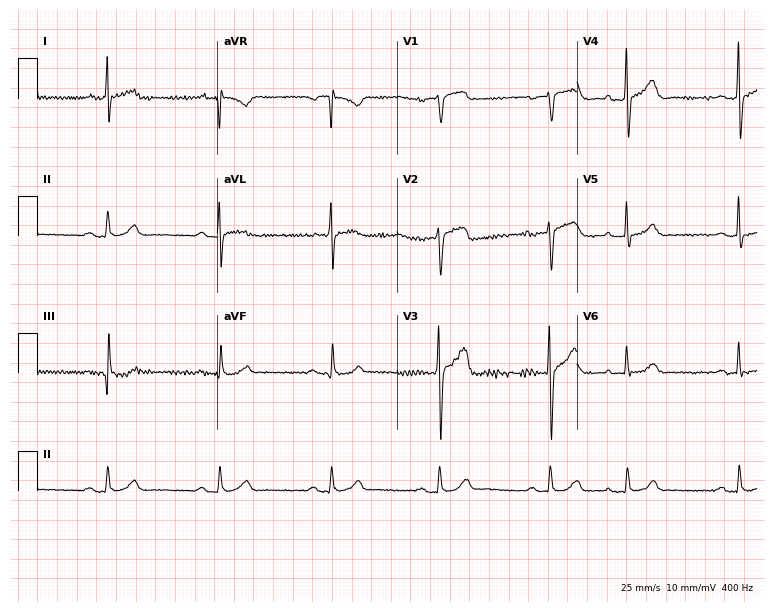
Resting 12-lead electrocardiogram. Patient: a 72-year-old male. None of these six findings is recorded: first-degree AV block, right bundle branch block, left bundle branch block, sinus bradycardia, atrial fibrillation, sinus tachycardia.